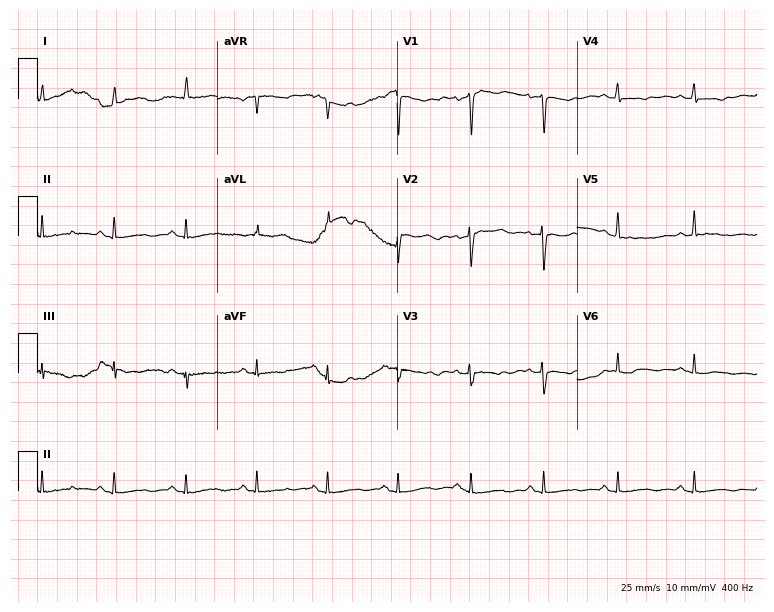
ECG (7.3-second recording at 400 Hz) — a female, 39 years old. Labelled as a normal ECG.